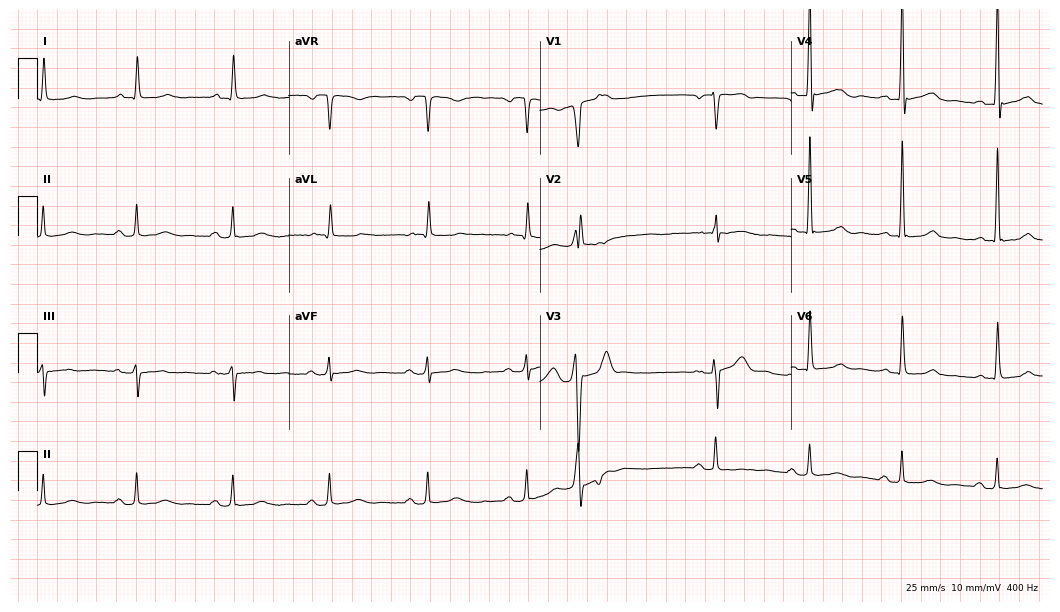
12-lead ECG (10.2-second recording at 400 Hz) from a male patient, 82 years old. Screened for six findings — first-degree AV block, right bundle branch block, left bundle branch block, sinus bradycardia, atrial fibrillation, sinus tachycardia — none is recorded.